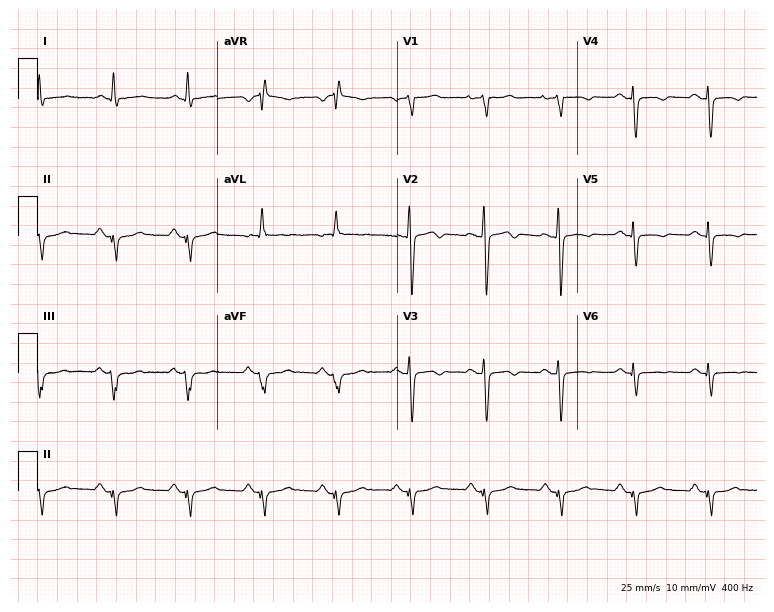
ECG — a 66-year-old female patient. Screened for six findings — first-degree AV block, right bundle branch block, left bundle branch block, sinus bradycardia, atrial fibrillation, sinus tachycardia — none is recorded. Other findings, if any, are not listed.